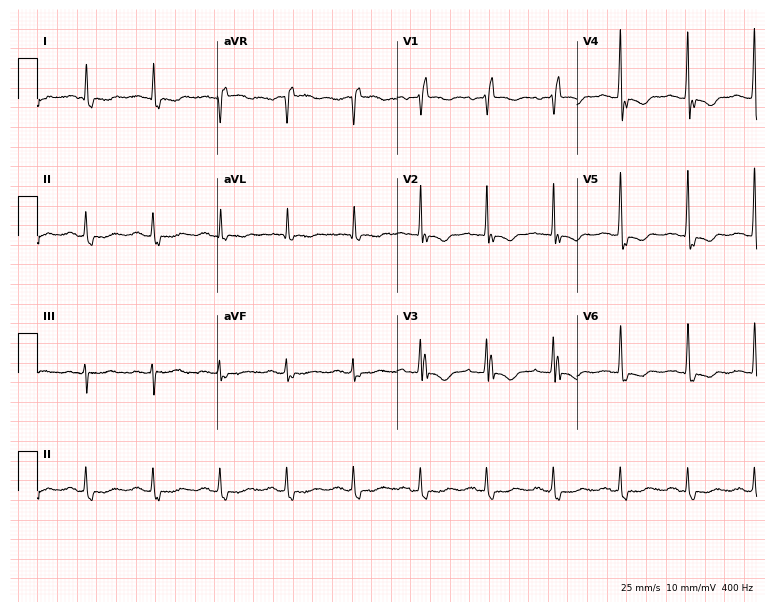
12-lead ECG (7.3-second recording at 400 Hz) from a female patient, 82 years old. Screened for six findings — first-degree AV block, right bundle branch block, left bundle branch block, sinus bradycardia, atrial fibrillation, sinus tachycardia — none is recorded. Findings outside these six are not listed.